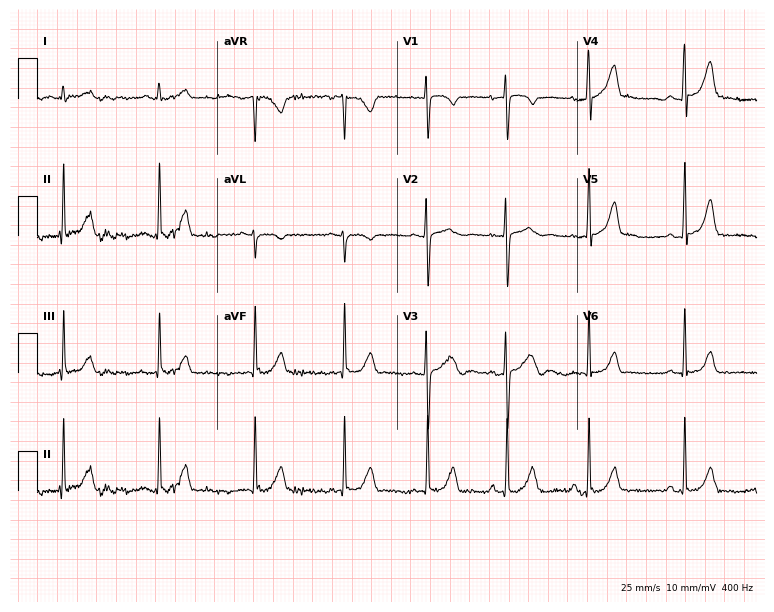
12-lead ECG (7.3-second recording at 400 Hz) from a woman, 18 years old. Labelled as a normal ECG.